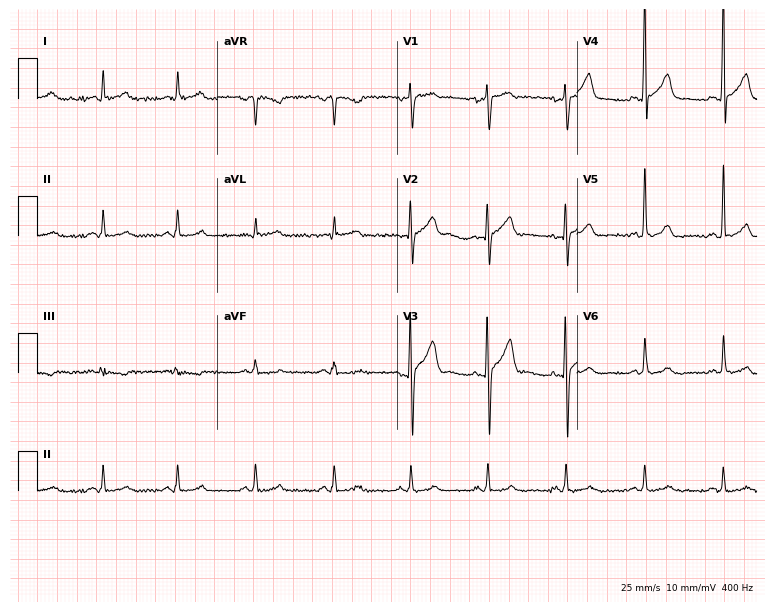
Standard 12-lead ECG recorded from a male patient, 60 years old. Read as a normal ECG.